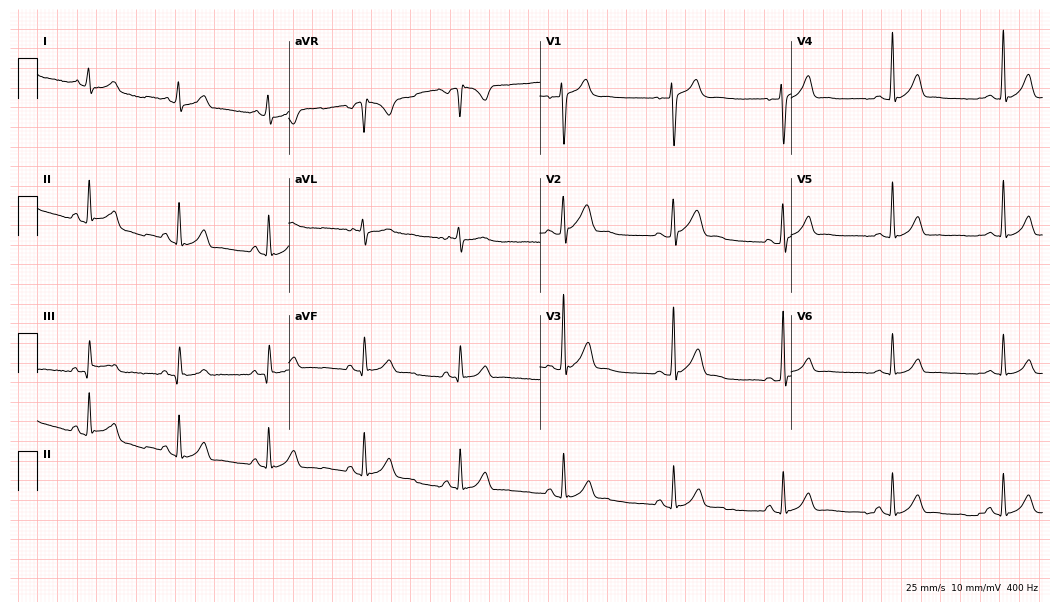
12-lead ECG from a male patient, 33 years old. Labelled as a normal ECG.